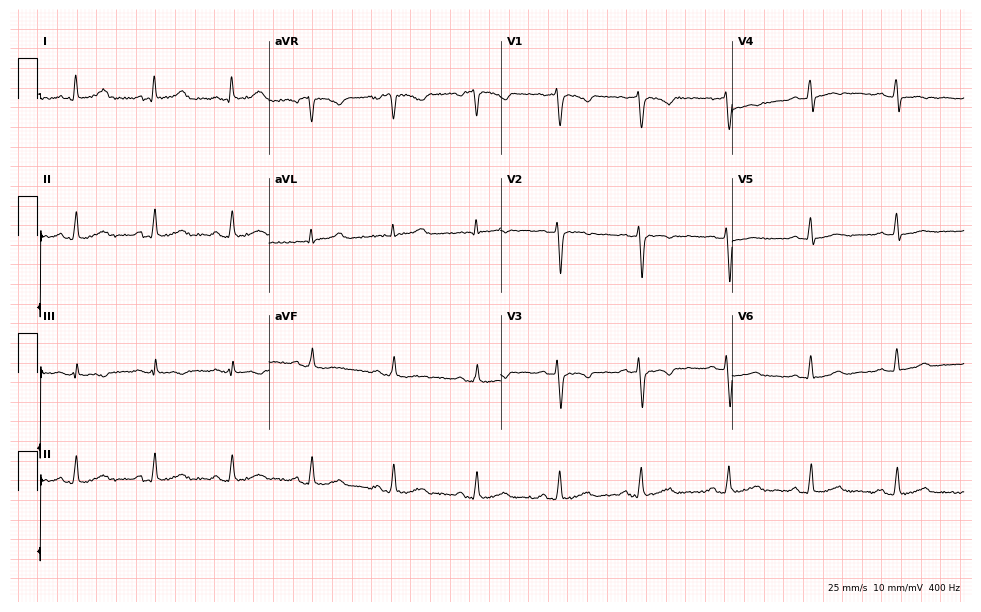
Electrocardiogram (9.4-second recording at 400 Hz), a 63-year-old female. Overall reading on record: normal ECG.